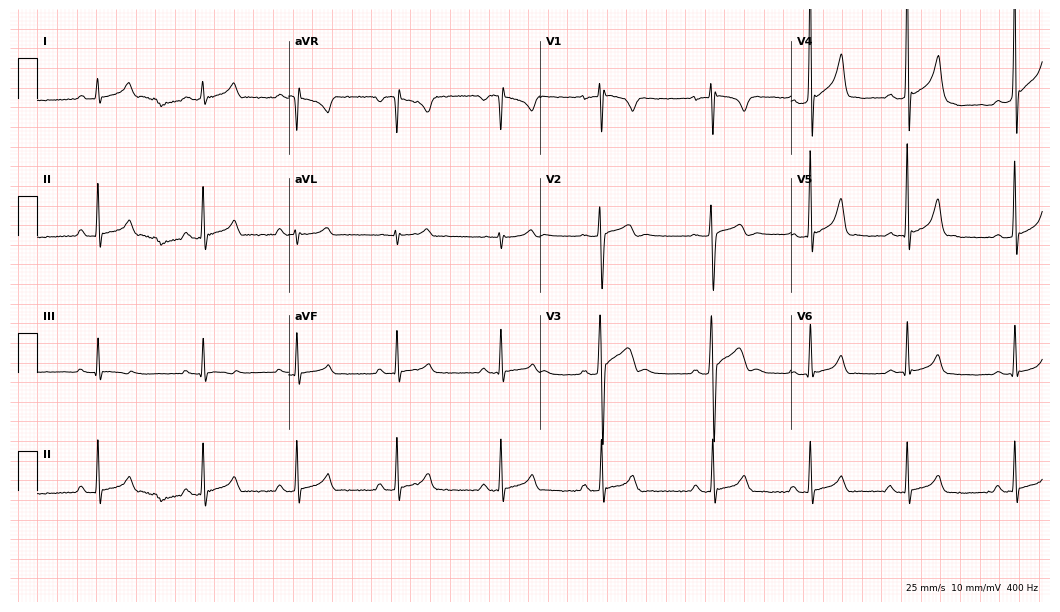
Resting 12-lead electrocardiogram. Patient: a 17-year-old male. Read as a normal ECG.